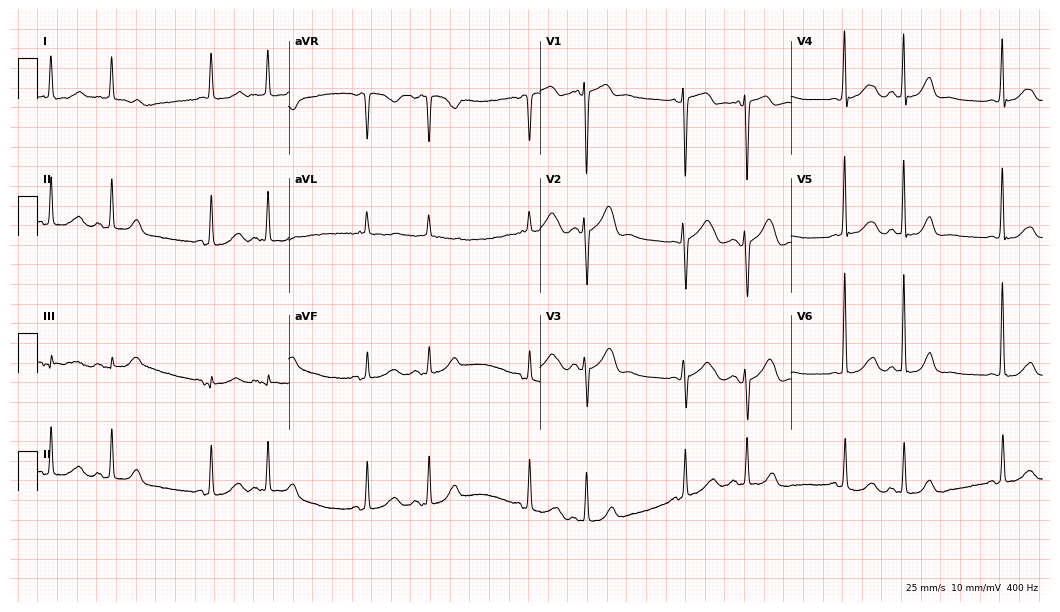
12-lead ECG from a female patient, 89 years old. Screened for six findings — first-degree AV block, right bundle branch block, left bundle branch block, sinus bradycardia, atrial fibrillation, sinus tachycardia — none is recorded. Only these six findings were labelled.